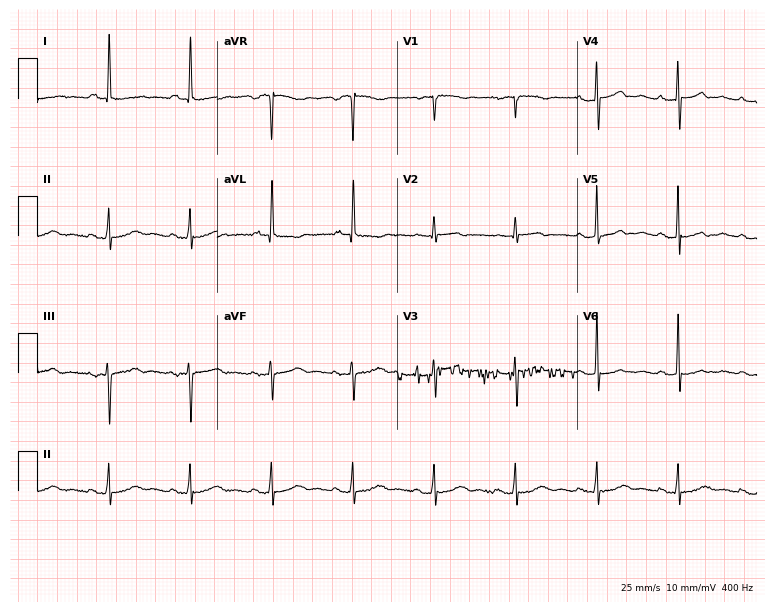
Standard 12-lead ECG recorded from a woman, 76 years old. Read as a normal ECG.